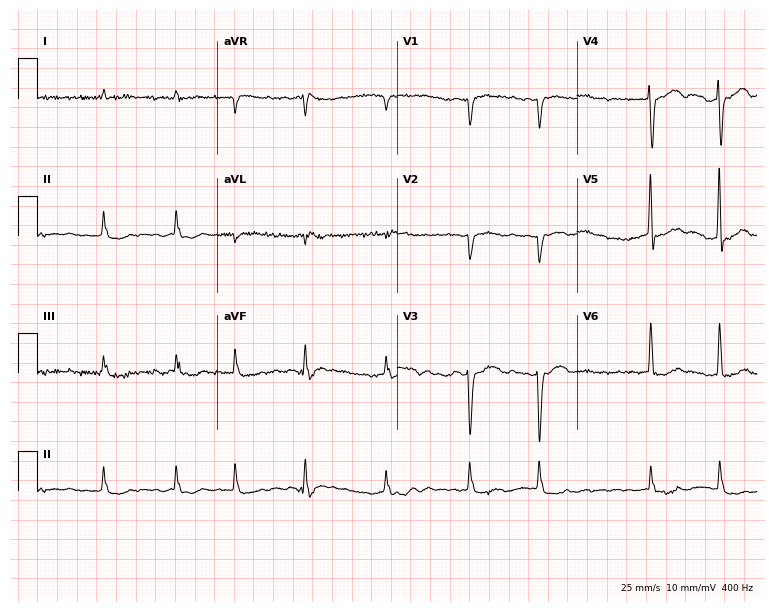
Electrocardiogram (7.3-second recording at 400 Hz), an 84-year-old man. Interpretation includes atrial fibrillation.